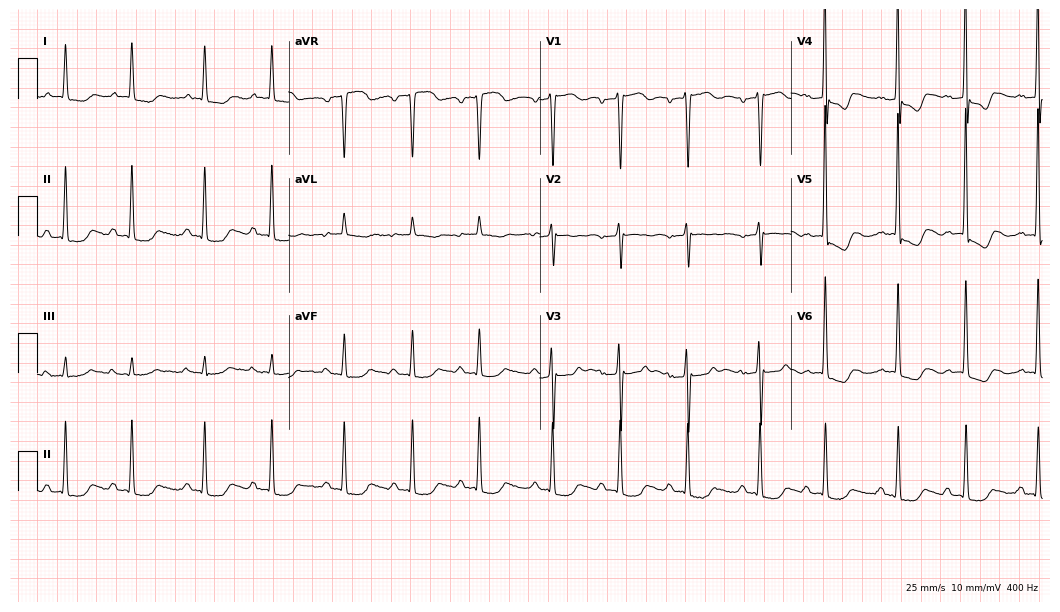
ECG — a female patient, 78 years old. Screened for six findings — first-degree AV block, right bundle branch block (RBBB), left bundle branch block (LBBB), sinus bradycardia, atrial fibrillation (AF), sinus tachycardia — none is recorded. Other findings, if any, are not listed.